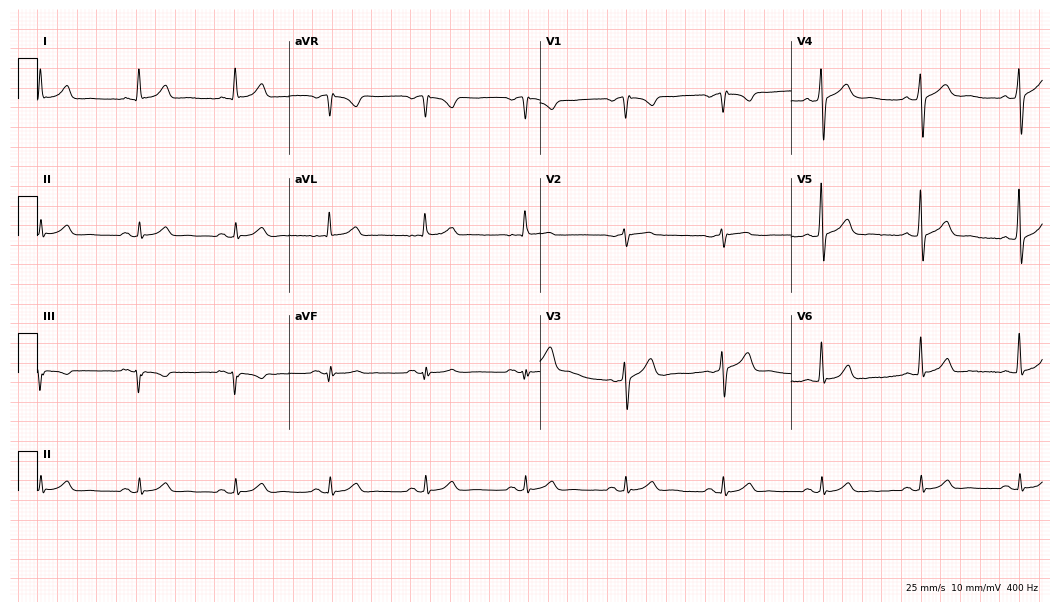
ECG (10.2-second recording at 400 Hz) — a 51-year-old male patient. Labelled as a normal ECG.